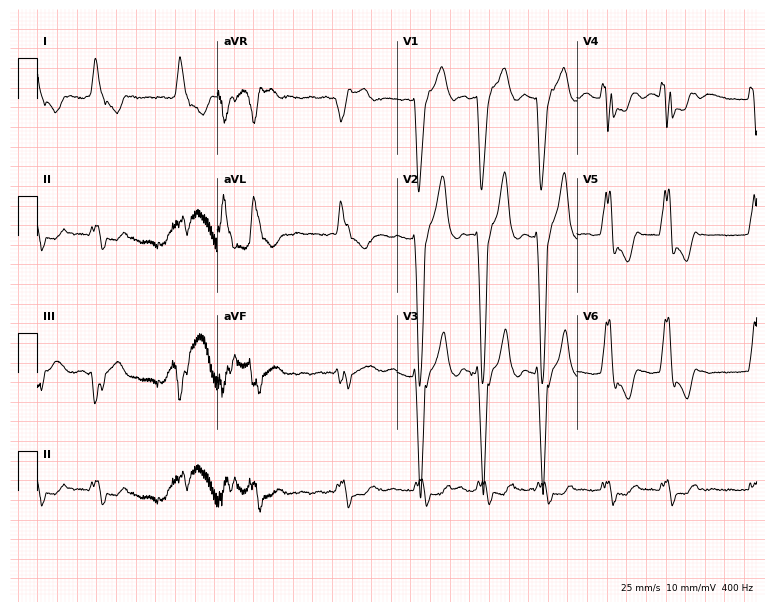
Standard 12-lead ECG recorded from a 76-year-old male patient. The tracing shows first-degree AV block, left bundle branch block, atrial fibrillation.